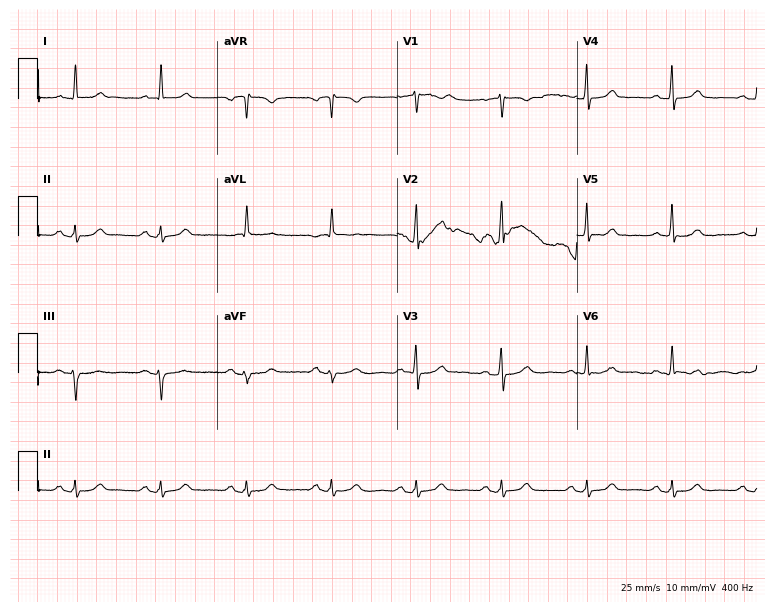
ECG — a female, 81 years old. Labelled as a normal ECG.